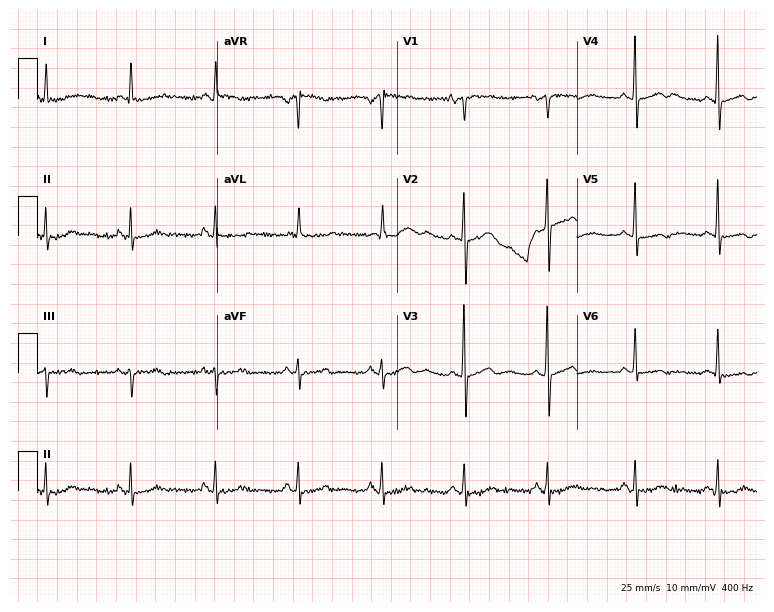
12-lead ECG (7.3-second recording at 400 Hz) from a female patient, 54 years old. Screened for six findings — first-degree AV block, right bundle branch block (RBBB), left bundle branch block (LBBB), sinus bradycardia, atrial fibrillation (AF), sinus tachycardia — none is recorded. Only these six findings were labelled.